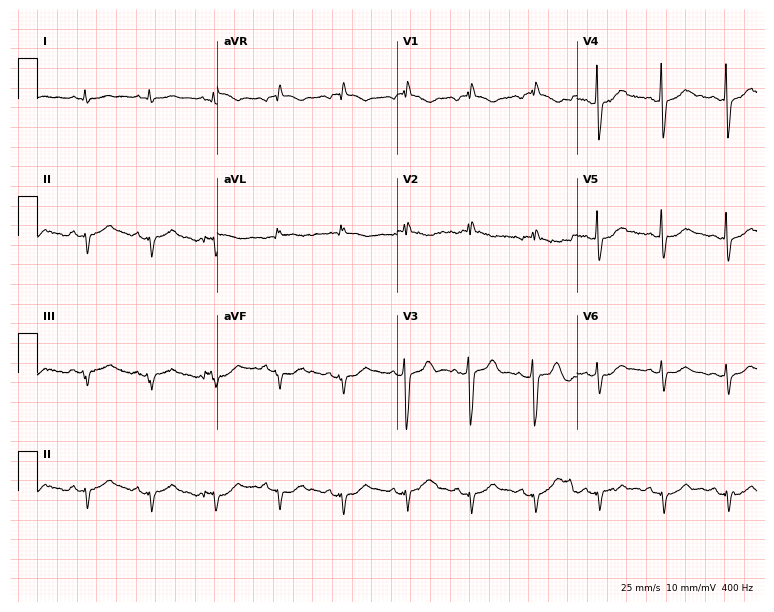
Electrocardiogram, a 66-year-old male patient. Of the six screened findings (first-degree AV block, right bundle branch block, left bundle branch block, sinus bradycardia, atrial fibrillation, sinus tachycardia), none is recorded. Only these six findings were labelled.